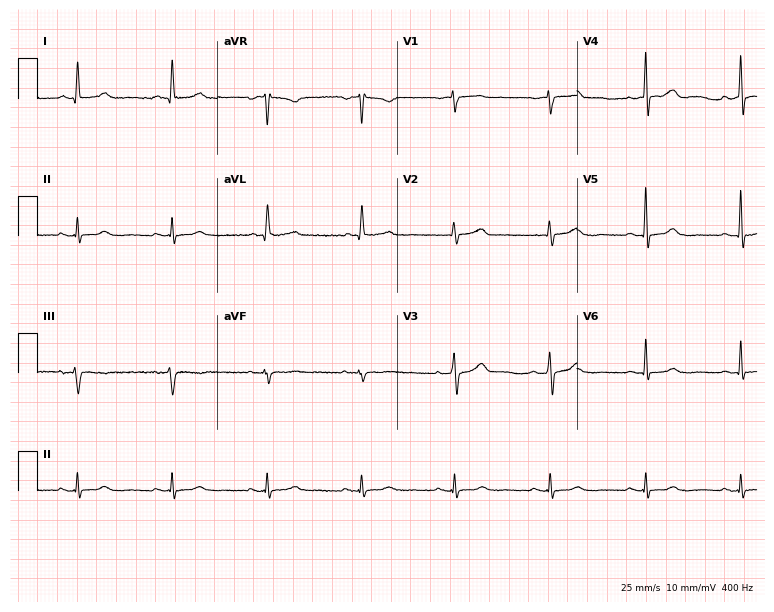
ECG — a female patient, 67 years old. Labelled as a normal ECG.